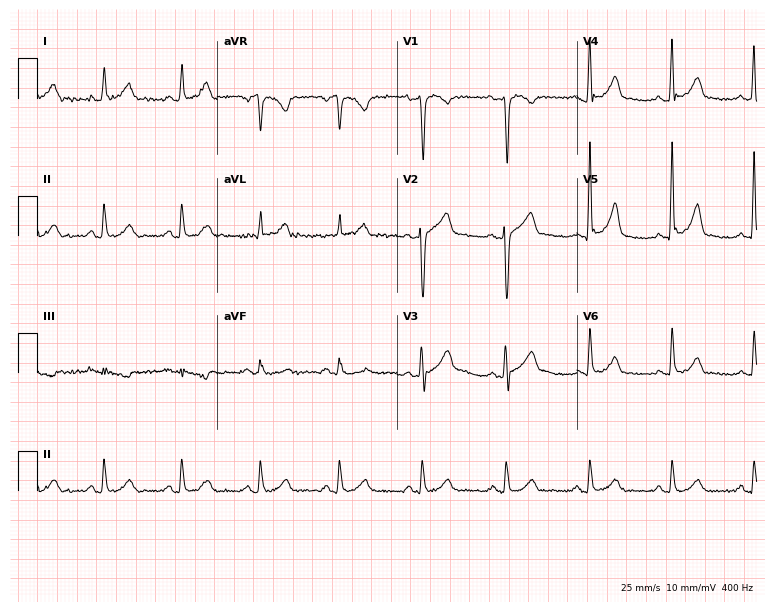
12-lead ECG from a 48-year-old man. Recorded interpretation: within normal limits.